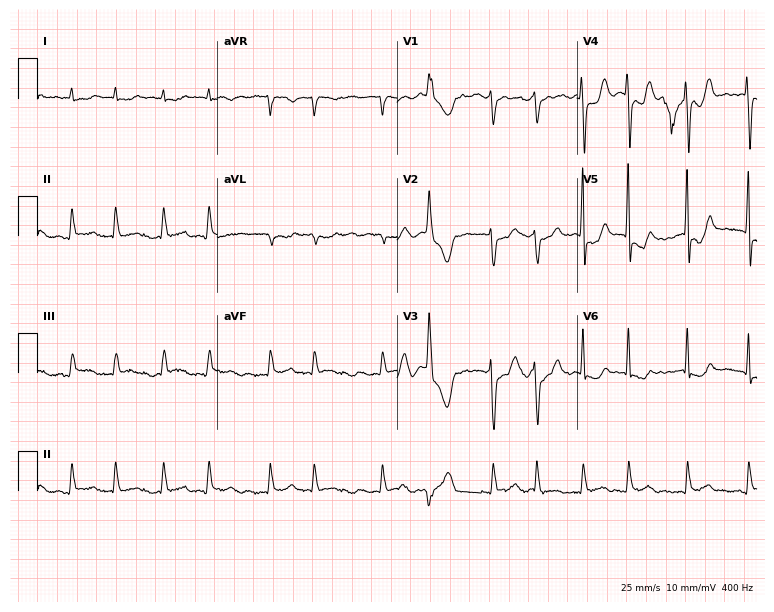
12-lead ECG from an 81-year-old man (7.3-second recording at 400 Hz). Shows atrial fibrillation.